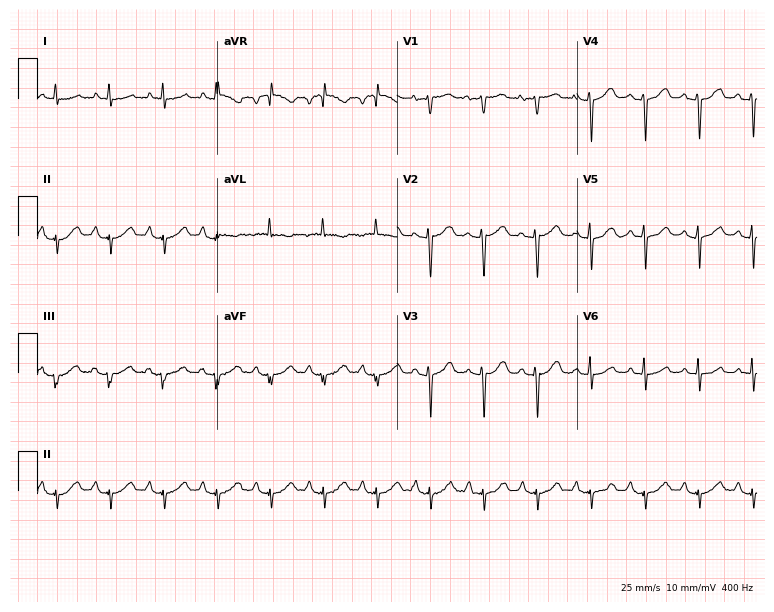
Resting 12-lead electrocardiogram (7.3-second recording at 400 Hz). Patient: a woman, 72 years old. The tracing shows sinus tachycardia (a sinus rate of 100 beats per minute or more).